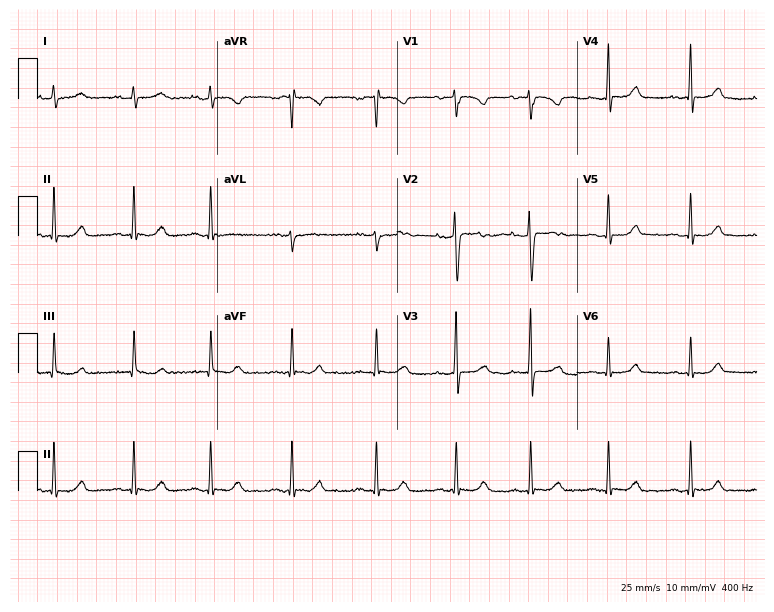
ECG (7.3-second recording at 400 Hz) — a 20-year-old woman. Labelled as a normal ECG.